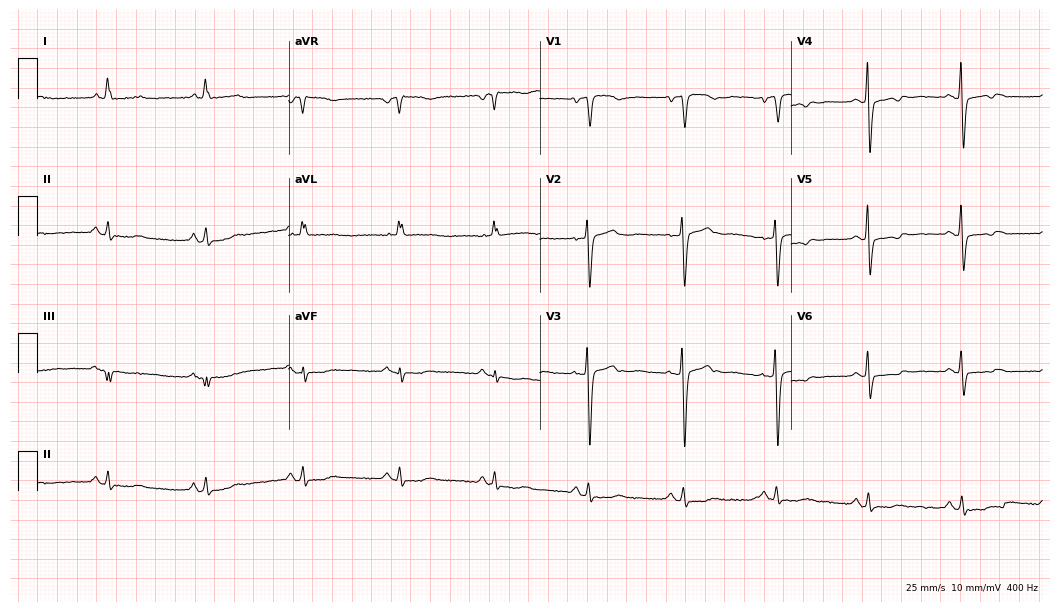
Resting 12-lead electrocardiogram. Patient: a 71-year-old female. None of these six findings is recorded: first-degree AV block, right bundle branch block, left bundle branch block, sinus bradycardia, atrial fibrillation, sinus tachycardia. Other findings, if any, are not listed.